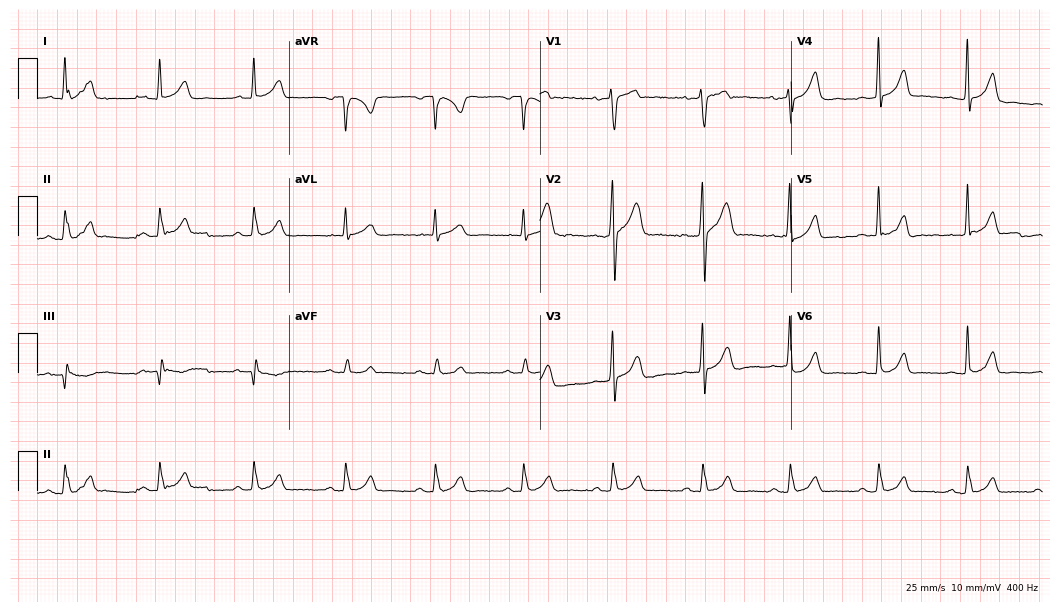
ECG — a male, 44 years old. Labelled as a normal ECG.